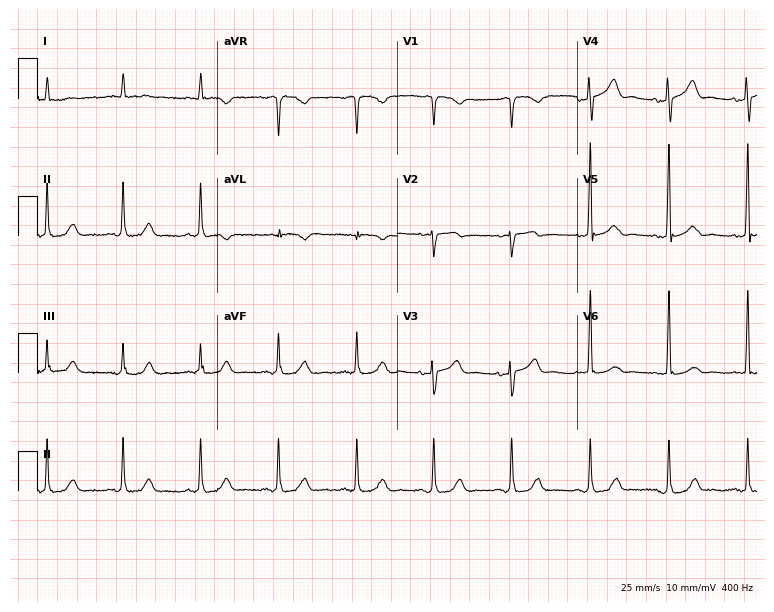
ECG — a female, 84 years old. Labelled as a normal ECG.